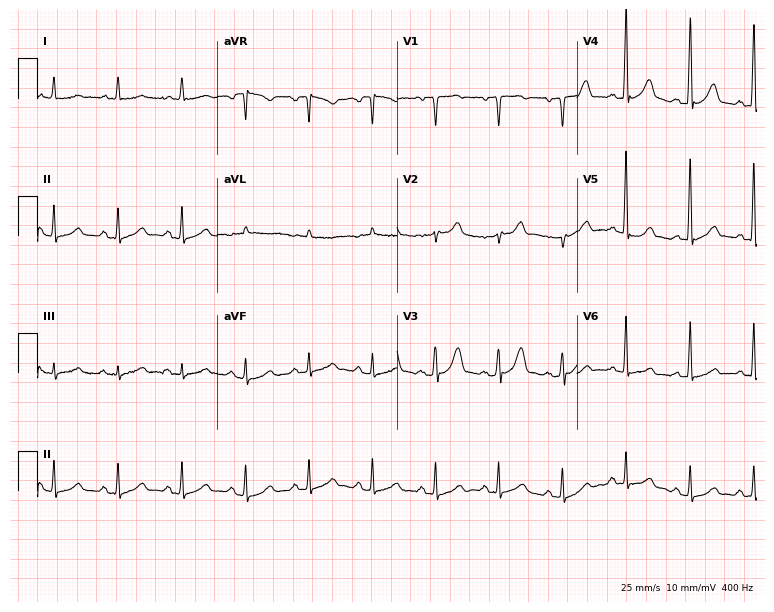
Electrocardiogram, a 67-year-old male. Overall reading on record: normal ECG.